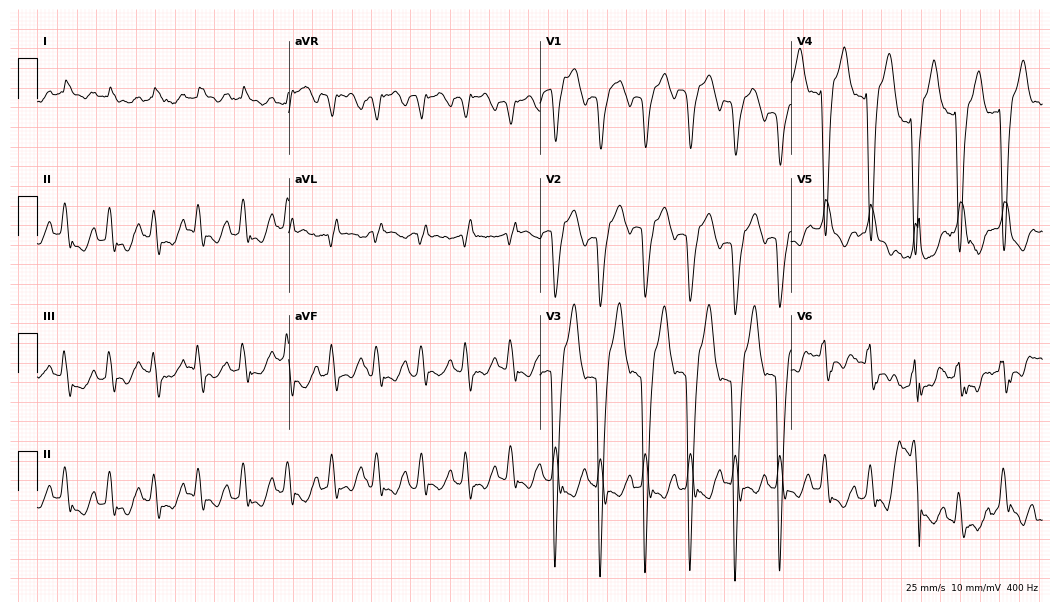
12-lead ECG from a female, 64 years old. Findings include left bundle branch block, sinus tachycardia (a sinus rate of 100 beats per minute or more).